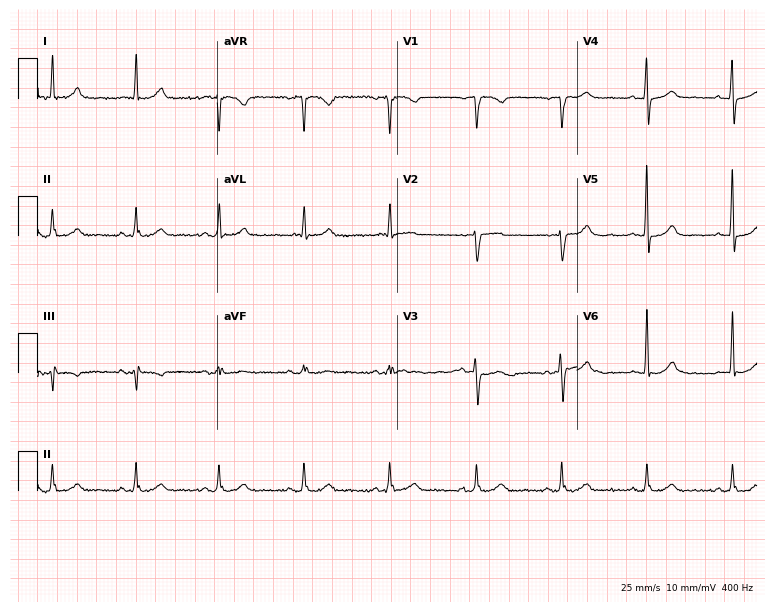
Electrocardiogram (7.3-second recording at 400 Hz), a woman, 85 years old. Of the six screened findings (first-degree AV block, right bundle branch block, left bundle branch block, sinus bradycardia, atrial fibrillation, sinus tachycardia), none is recorded.